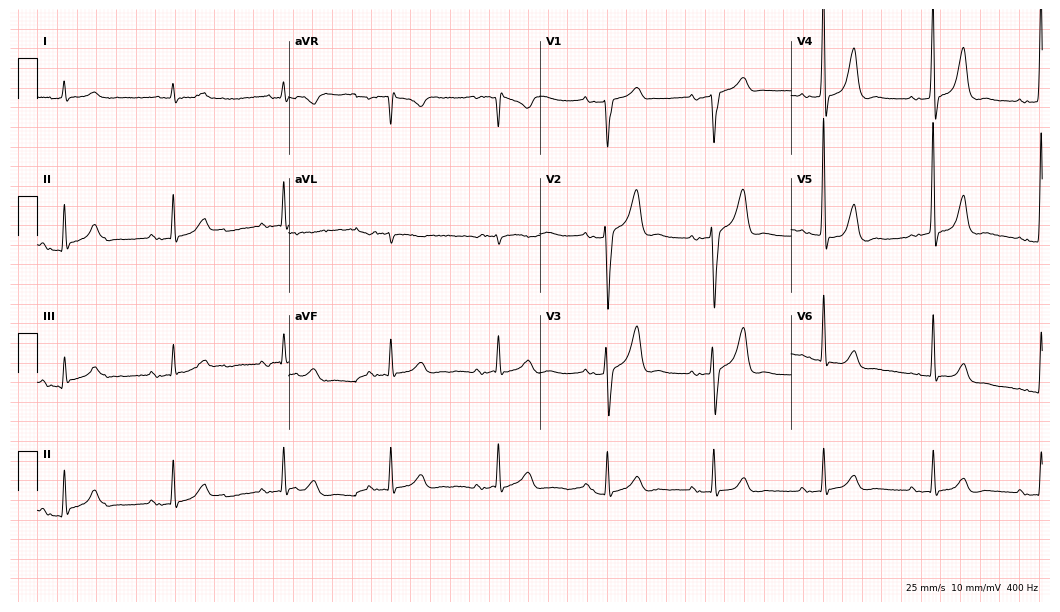
Electrocardiogram, a male patient, 82 years old. Of the six screened findings (first-degree AV block, right bundle branch block, left bundle branch block, sinus bradycardia, atrial fibrillation, sinus tachycardia), none is recorded.